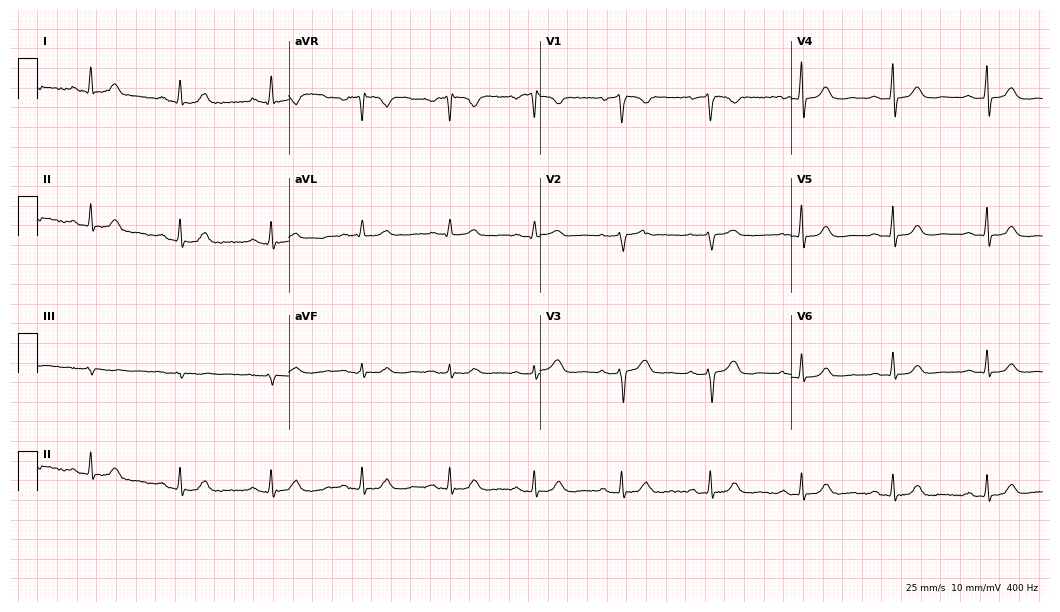
Standard 12-lead ECG recorded from a man, 56 years old (10.2-second recording at 400 Hz). Read as a normal ECG.